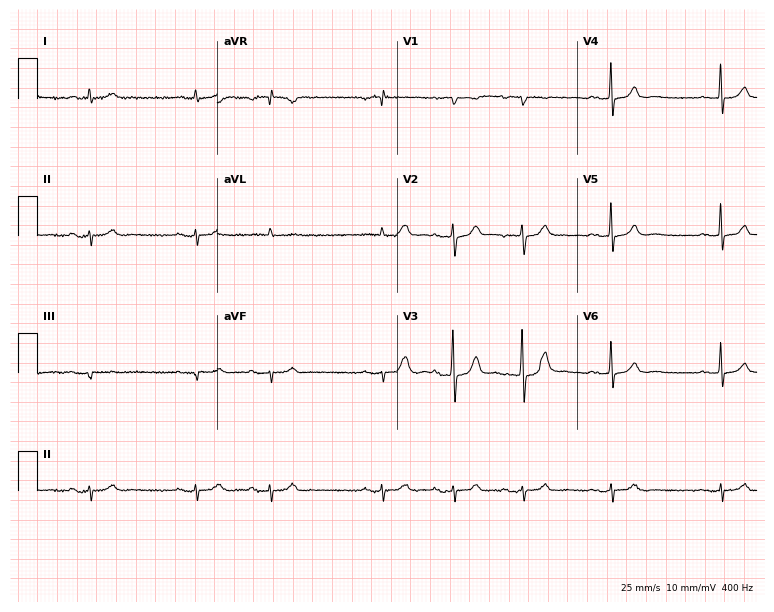
ECG (7.3-second recording at 400 Hz) — a male patient, 84 years old. Screened for six findings — first-degree AV block, right bundle branch block, left bundle branch block, sinus bradycardia, atrial fibrillation, sinus tachycardia — none is recorded.